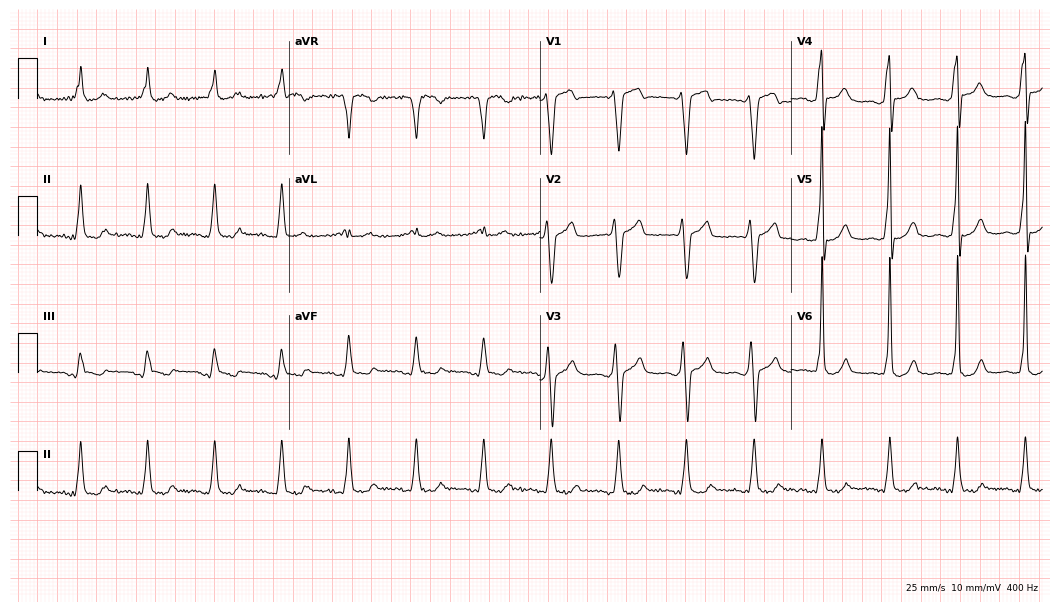
Resting 12-lead electrocardiogram. Patient: a 52-year-old male. None of these six findings is recorded: first-degree AV block, right bundle branch block, left bundle branch block, sinus bradycardia, atrial fibrillation, sinus tachycardia.